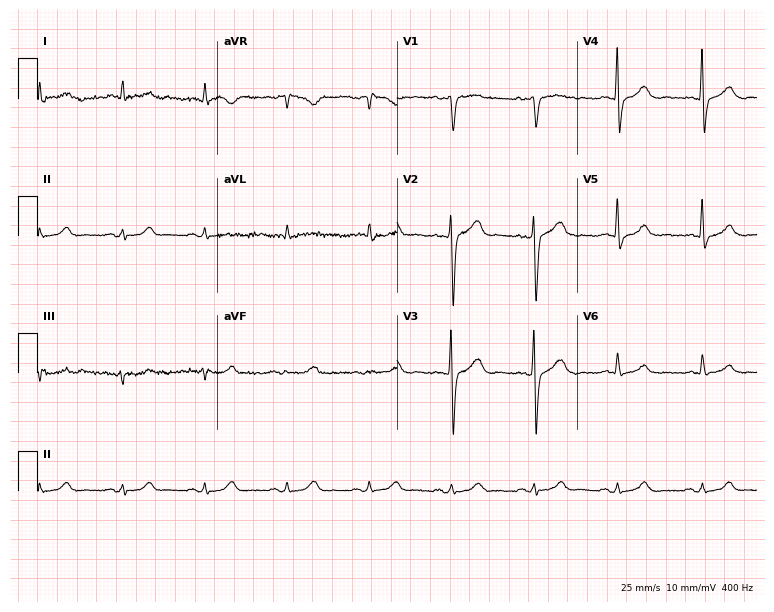
Resting 12-lead electrocardiogram (7.3-second recording at 400 Hz). Patient: a 60-year-old male. Read as a normal ECG.